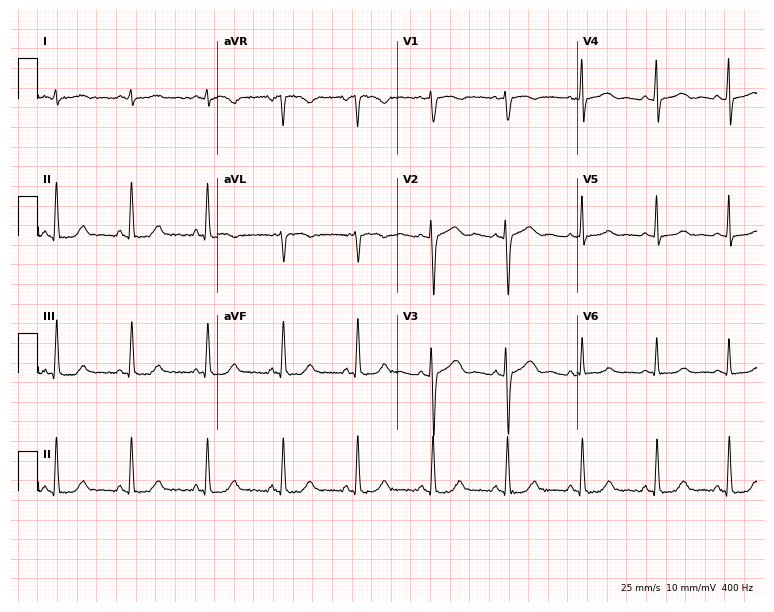
12-lead ECG from a female patient, 32 years old (7.3-second recording at 400 Hz). Recorded interpretation: within normal limits.